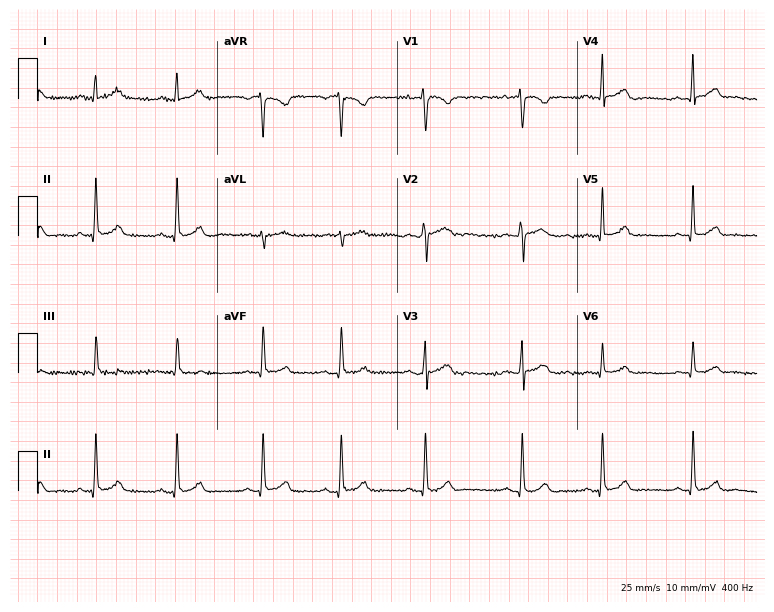
12-lead ECG from an 18-year-old woman. Labelled as a normal ECG.